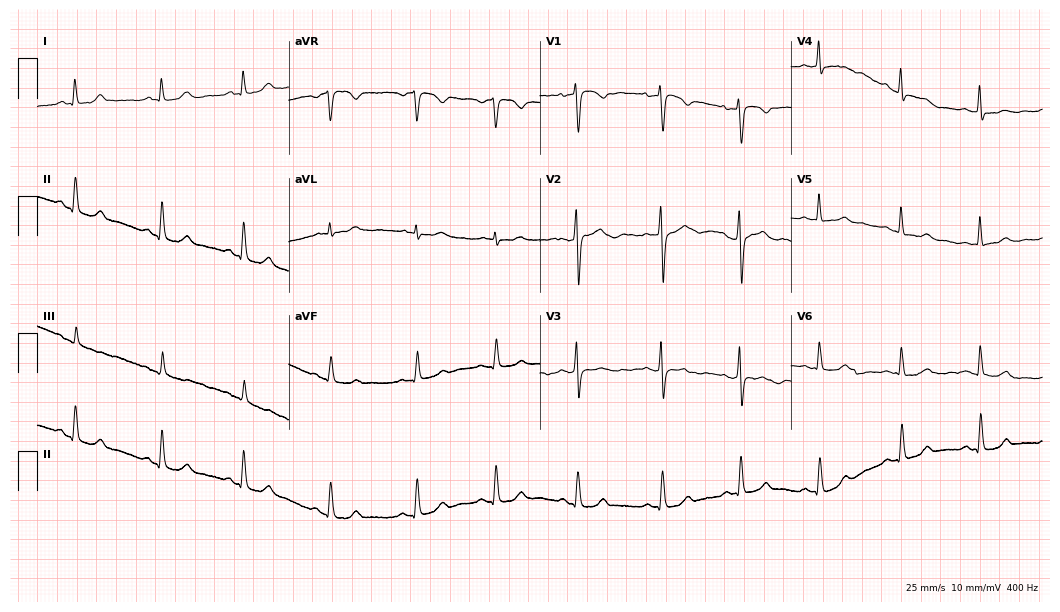
Standard 12-lead ECG recorded from a 43-year-old female patient. None of these six findings is recorded: first-degree AV block, right bundle branch block, left bundle branch block, sinus bradycardia, atrial fibrillation, sinus tachycardia.